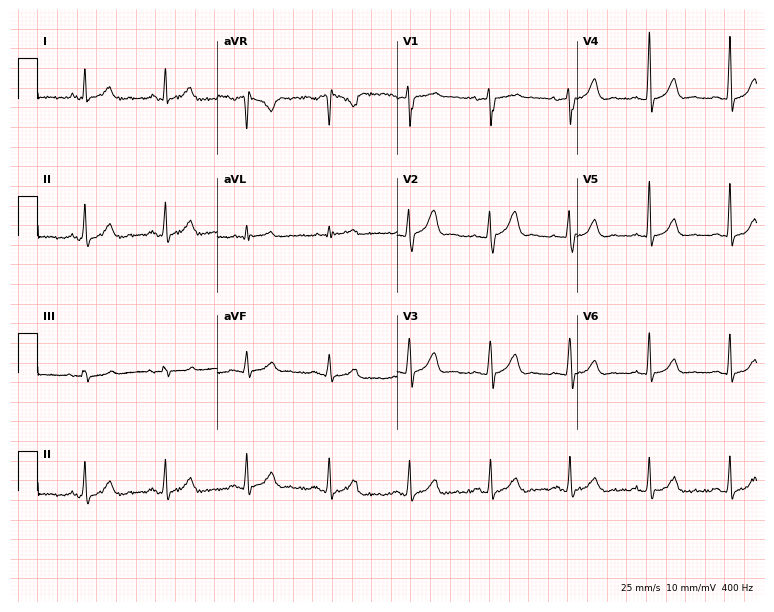
Electrocardiogram (7.3-second recording at 400 Hz), a female patient, 48 years old. Overall reading on record: normal ECG.